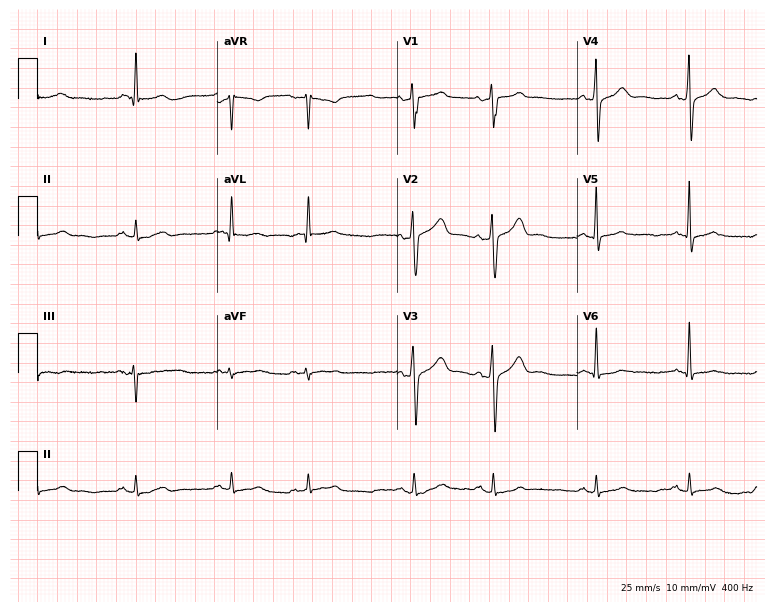
ECG (7.3-second recording at 400 Hz) — a 58-year-old male patient. Screened for six findings — first-degree AV block, right bundle branch block, left bundle branch block, sinus bradycardia, atrial fibrillation, sinus tachycardia — none is recorded.